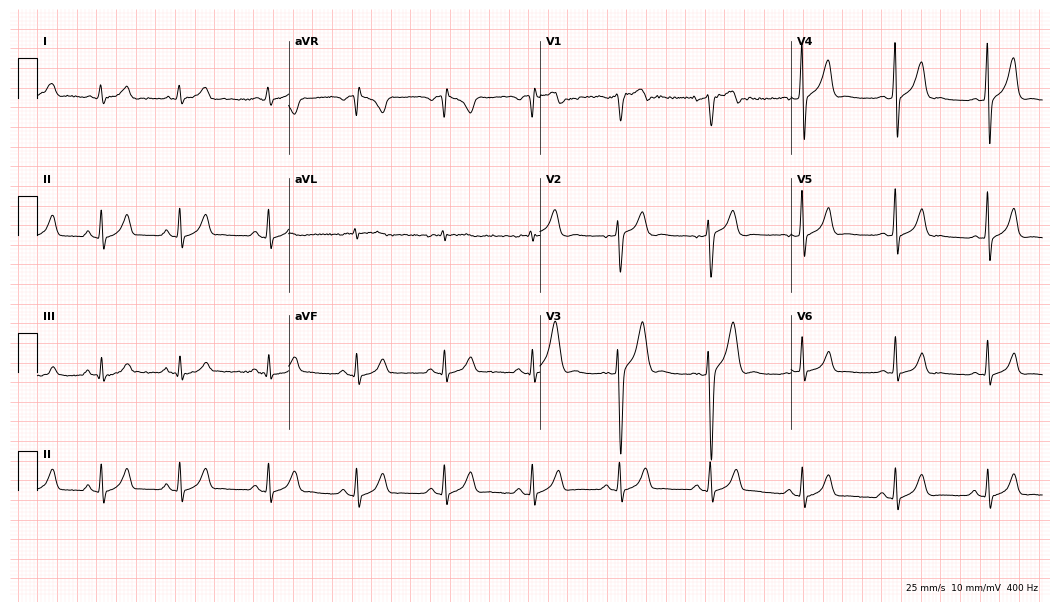
Electrocardiogram, a man, 21 years old. Of the six screened findings (first-degree AV block, right bundle branch block, left bundle branch block, sinus bradycardia, atrial fibrillation, sinus tachycardia), none is recorded. Only these six findings were labelled.